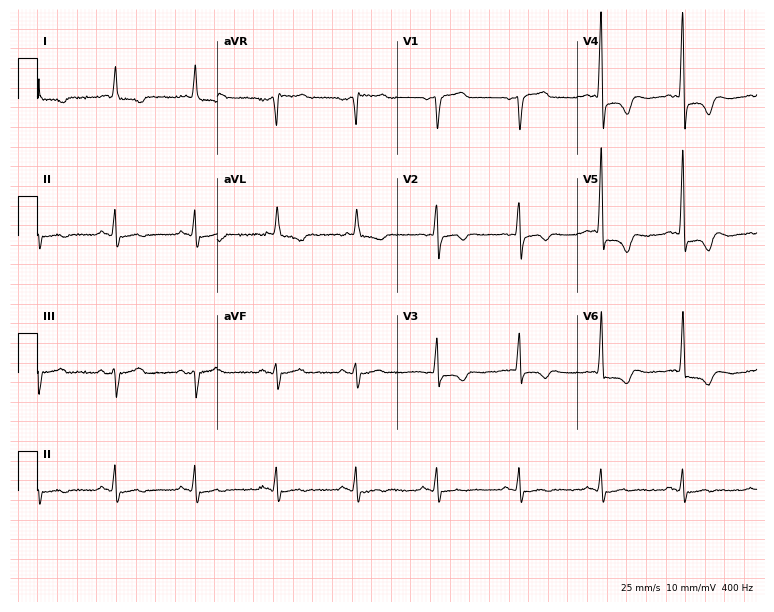
12-lead ECG from a 78-year-old male. Labelled as a normal ECG.